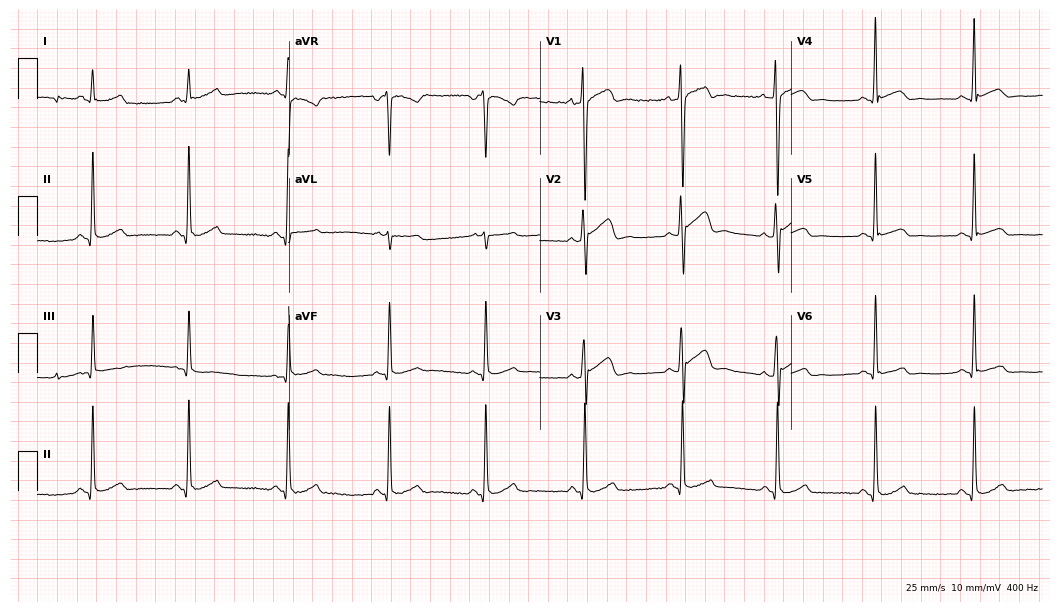
Resting 12-lead electrocardiogram. Patient: a male, 21 years old. None of these six findings is recorded: first-degree AV block, right bundle branch block, left bundle branch block, sinus bradycardia, atrial fibrillation, sinus tachycardia.